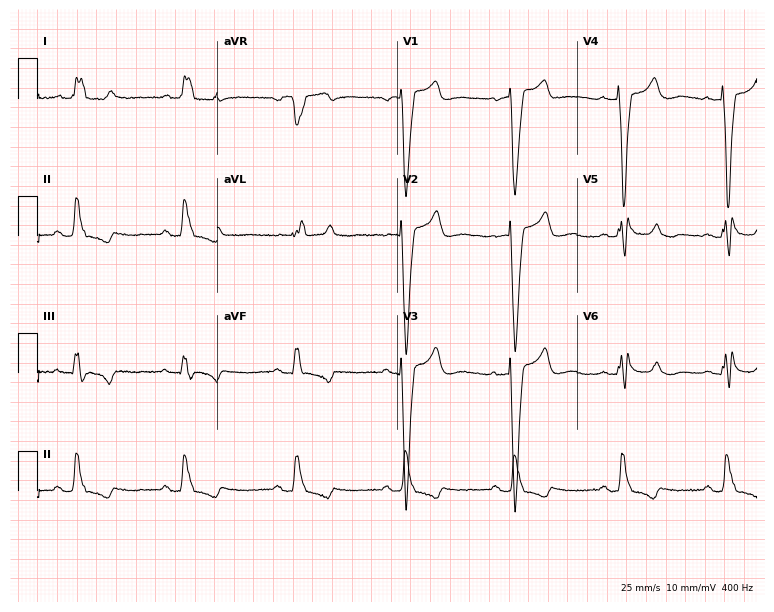
12-lead ECG from a female, 73 years old. Screened for six findings — first-degree AV block, right bundle branch block, left bundle branch block, sinus bradycardia, atrial fibrillation, sinus tachycardia — none is recorded.